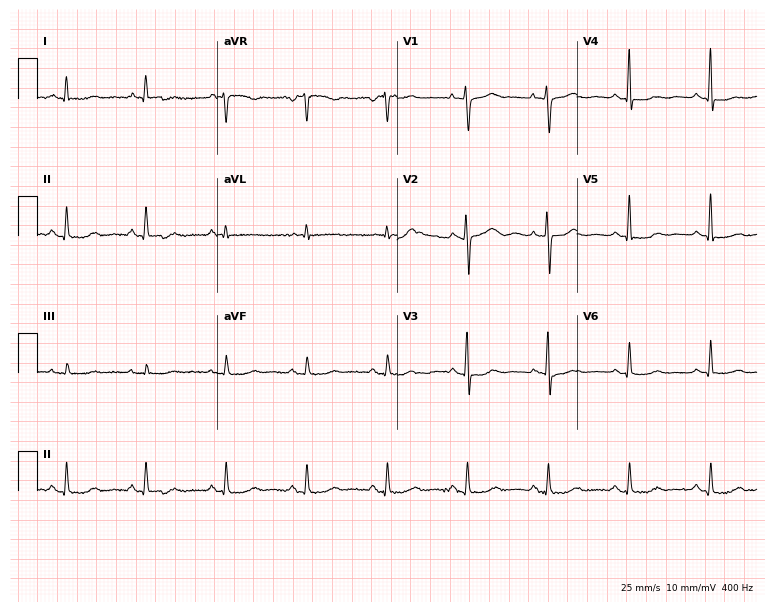
12-lead ECG from a 74-year-old female patient. Screened for six findings — first-degree AV block, right bundle branch block (RBBB), left bundle branch block (LBBB), sinus bradycardia, atrial fibrillation (AF), sinus tachycardia — none is recorded.